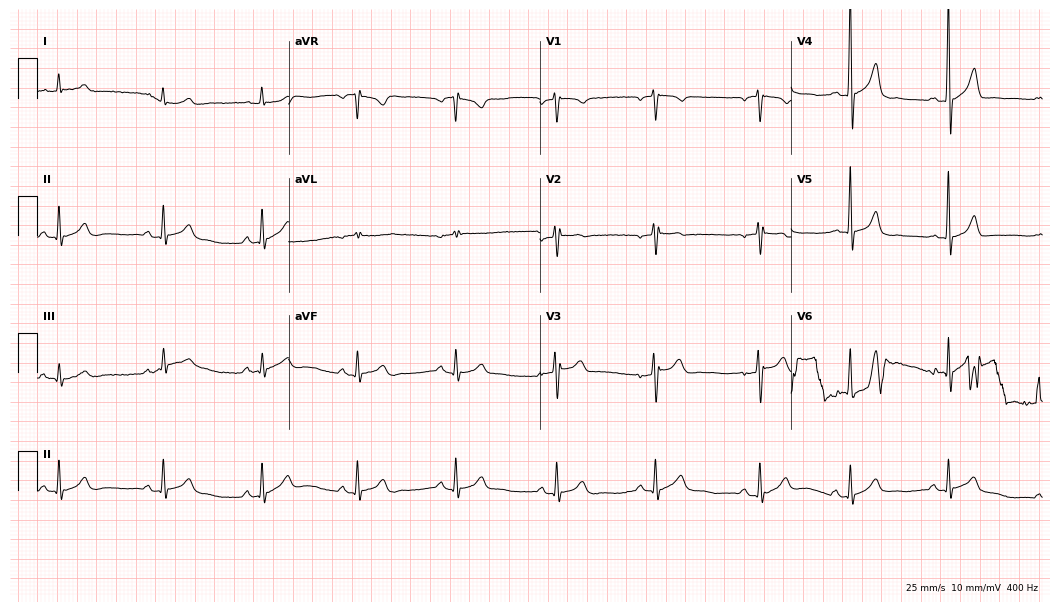
Standard 12-lead ECG recorded from a male patient, 44 years old (10.2-second recording at 400 Hz). Read as a normal ECG.